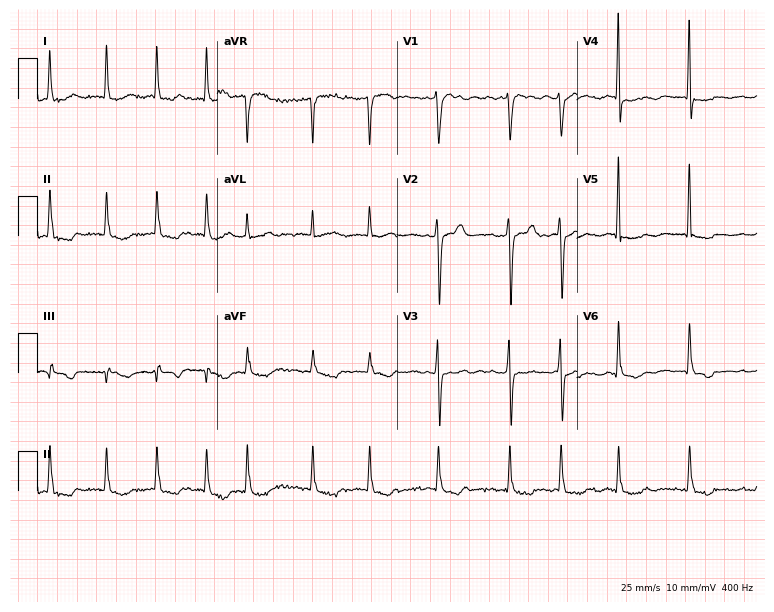
ECG (7.3-second recording at 400 Hz) — an 85-year-old female patient. Screened for six findings — first-degree AV block, right bundle branch block (RBBB), left bundle branch block (LBBB), sinus bradycardia, atrial fibrillation (AF), sinus tachycardia — none is recorded. Only these six findings were labelled.